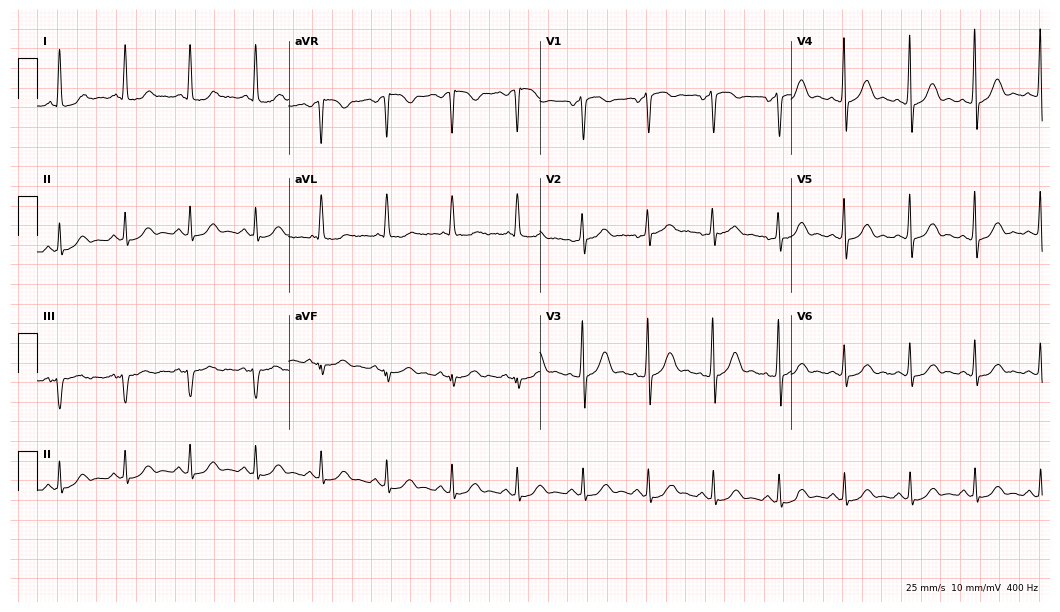
12-lead ECG from a 57-year-old man. Screened for six findings — first-degree AV block, right bundle branch block, left bundle branch block, sinus bradycardia, atrial fibrillation, sinus tachycardia — none is recorded. Findings outside these six are not listed.